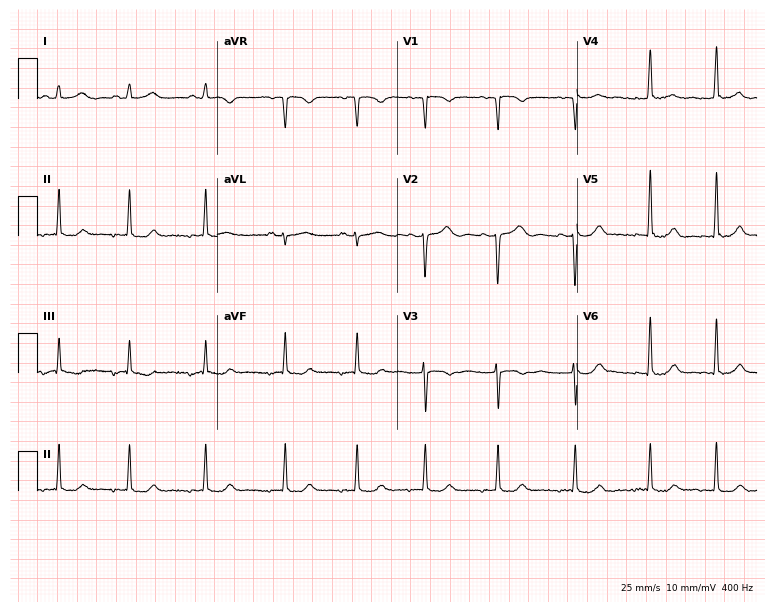
Resting 12-lead electrocardiogram (7.3-second recording at 400 Hz). Patient: a 24-year-old woman. Read as a normal ECG.